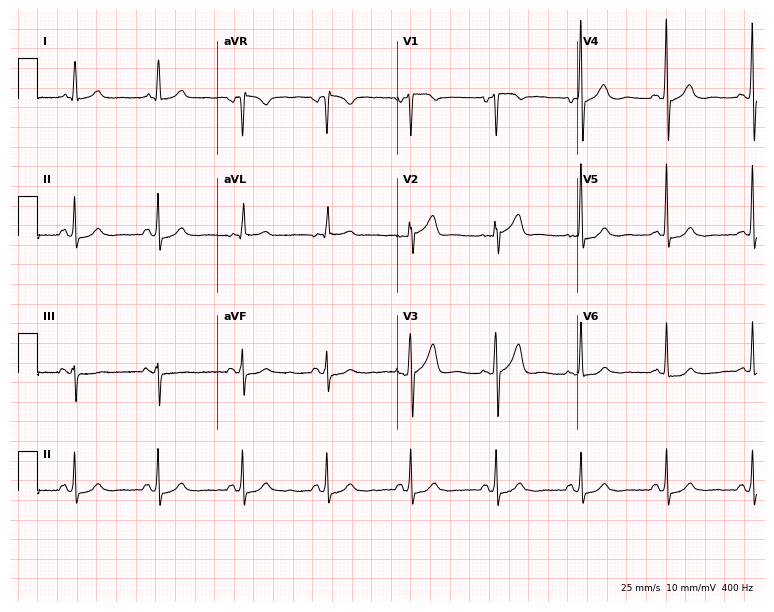
Standard 12-lead ECG recorded from a 59-year-old man. Read as a normal ECG.